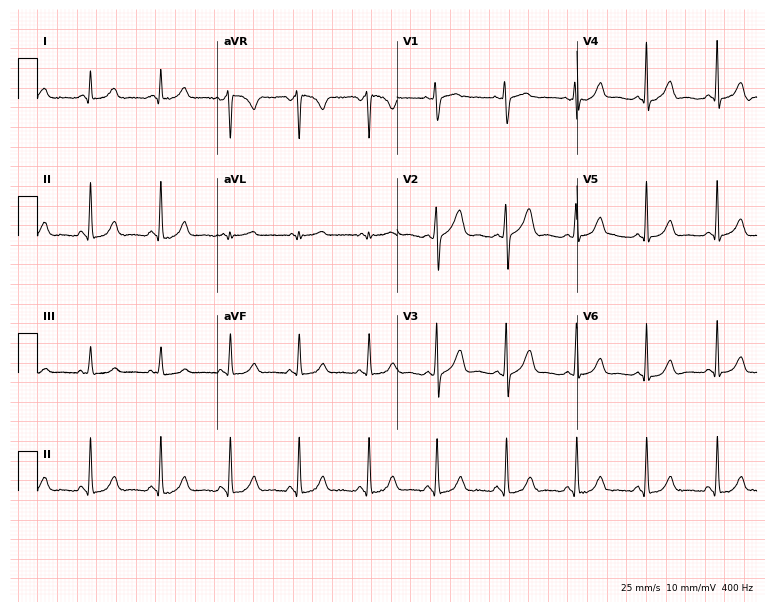
ECG — a woman, 43 years old. Labelled as a normal ECG.